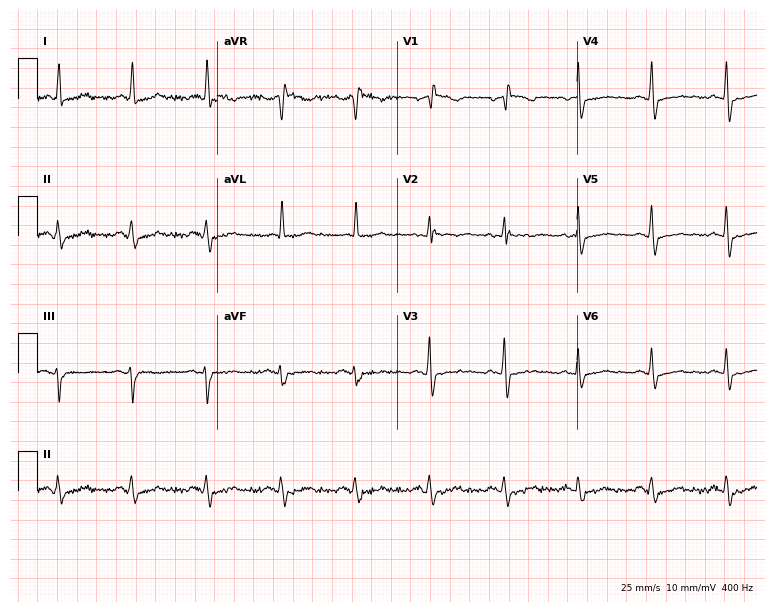
ECG (7.3-second recording at 400 Hz) — a man, 58 years old. Screened for six findings — first-degree AV block, right bundle branch block, left bundle branch block, sinus bradycardia, atrial fibrillation, sinus tachycardia — none is recorded.